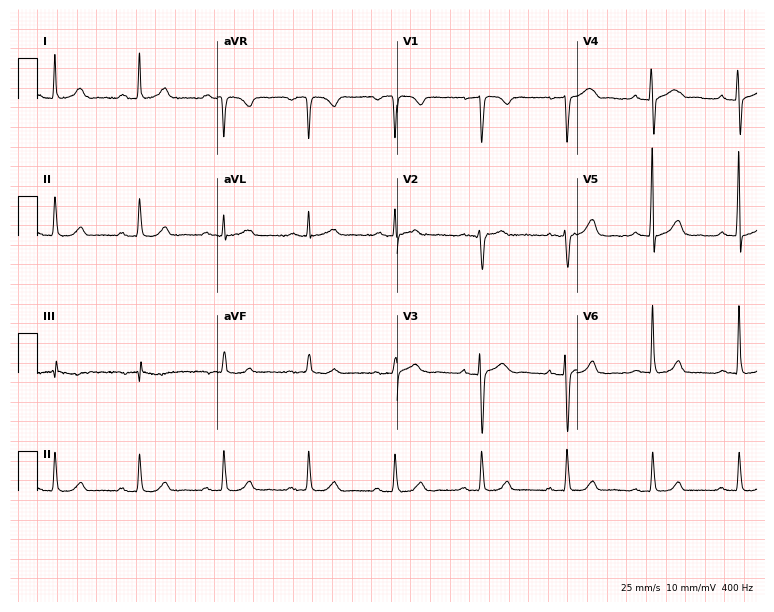
Electrocardiogram (7.3-second recording at 400 Hz), a 53-year-old woman. Of the six screened findings (first-degree AV block, right bundle branch block (RBBB), left bundle branch block (LBBB), sinus bradycardia, atrial fibrillation (AF), sinus tachycardia), none is recorded. Findings outside these six are not listed.